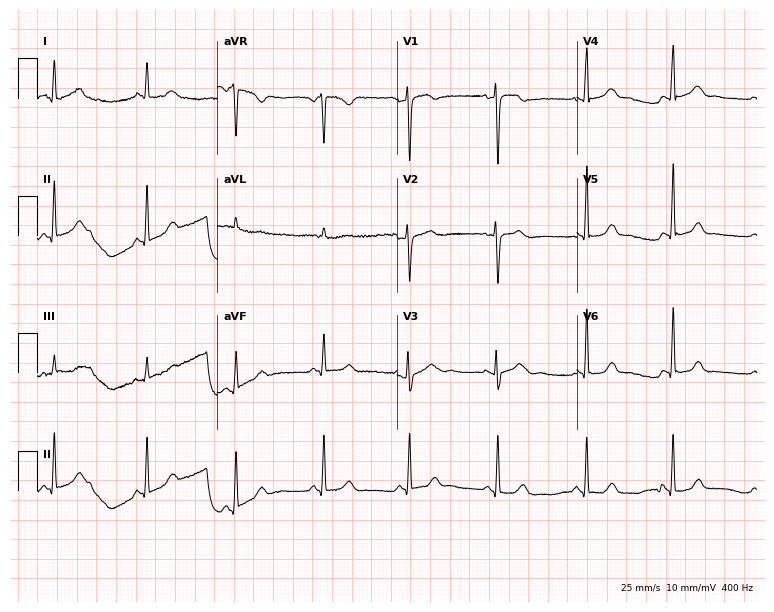
Standard 12-lead ECG recorded from a 28-year-old woman (7.3-second recording at 400 Hz). Read as a normal ECG.